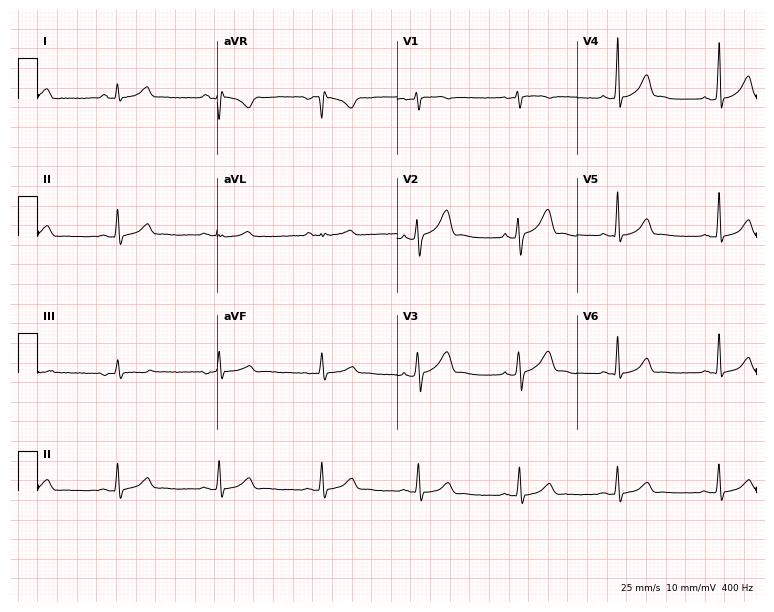
Resting 12-lead electrocardiogram. Patient: a female, 24 years old. None of these six findings is recorded: first-degree AV block, right bundle branch block, left bundle branch block, sinus bradycardia, atrial fibrillation, sinus tachycardia.